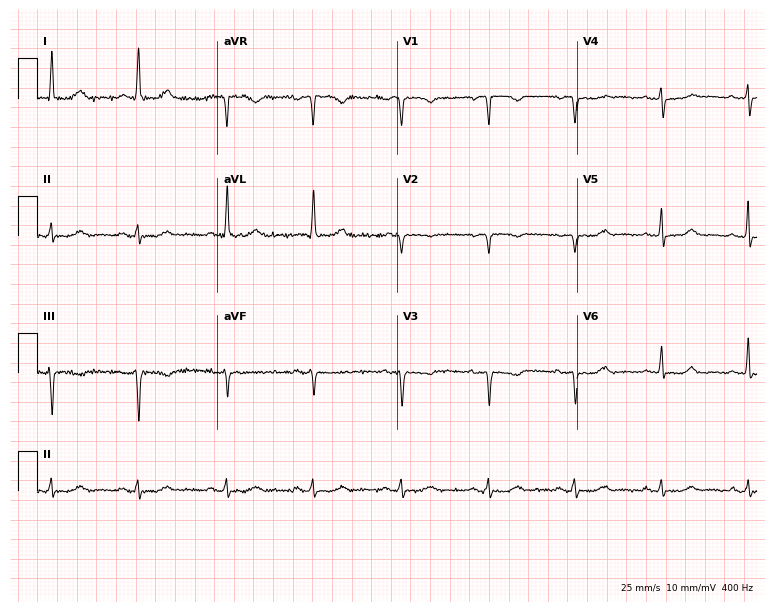
12-lead ECG from a female patient, 73 years old. Recorded interpretation: within normal limits.